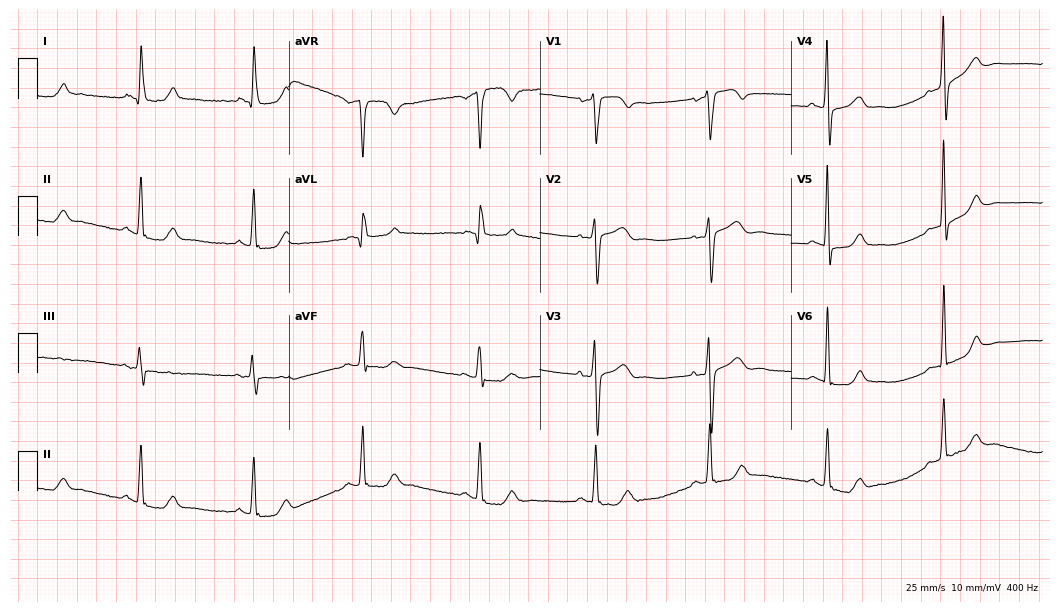
Standard 12-lead ECG recorded from a 66-year-old woman. None of these six findings is recorded: first-degree AV block, right bundle branch block (RBBB), left bundle branch block (LBBB), sinus bradycardia, atrial fibrillation (AF), sinus tachycardia.